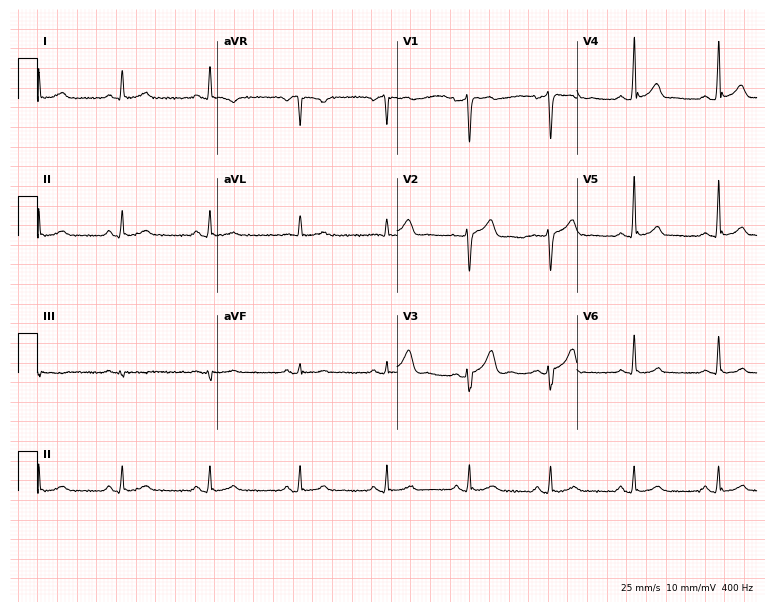
Resting 12-lead electrocardiogram. Patient: a 38-year-old male. None of these six findings is recorded: first-degree AV block, right bundle branch block (RBBB), left bundle branch block (LBBB), sinus bradycardia, atrial fibrillation (AF), sinus tachycardia. Only these six findings were labelled.